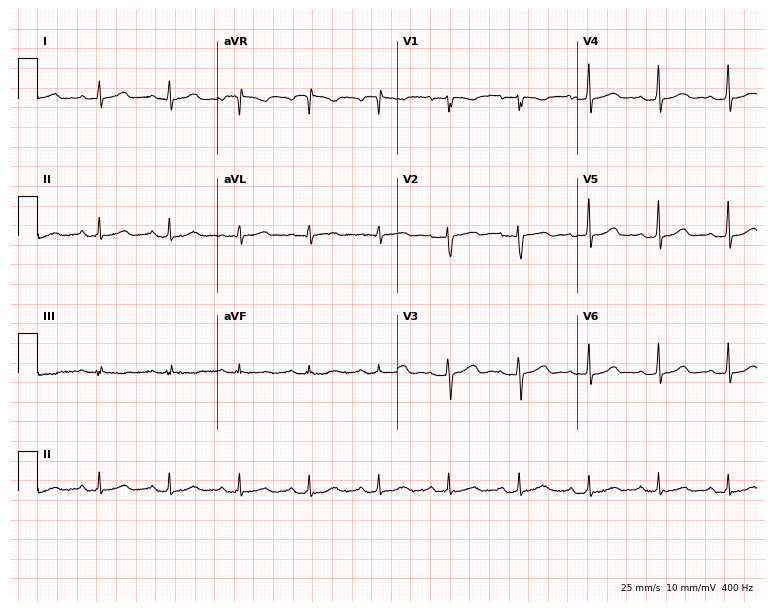
Electrocardiogram (7.3-second recording at 400 Hz), a 36-year-old female. Overall reading on record: normal ECG.